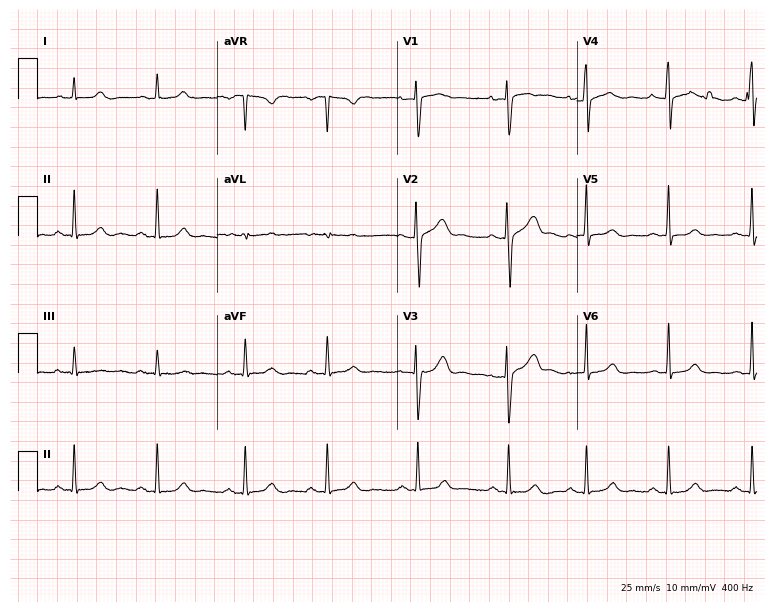
Standard 12-lead ECG recorded from a 26-year-old female. Read as a normal ECG.